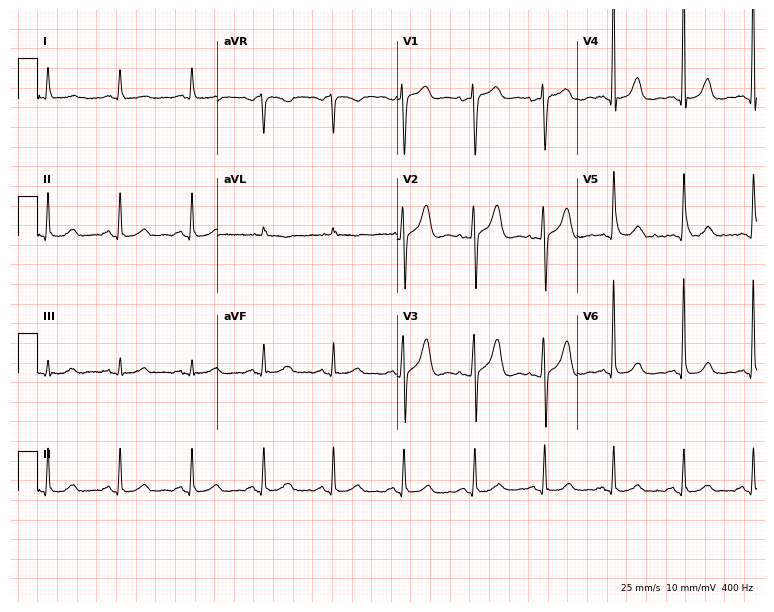
ECG (7.3-second recording at 400 Hz) — an 82-year-old female patient. Labelled as a normal ECG.